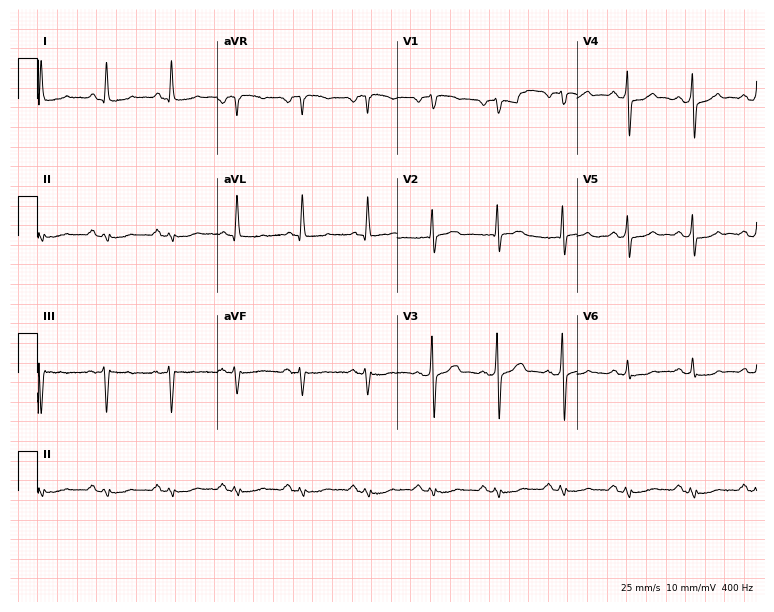
Standard 12-lead ECG recorded from a 78-year-old man (7.3-second recording at 400 Hz). None of these six findings is recorded: first-degree AV block, right bundle branch block (RBBB), left bundle branch block (LBBB), sinus bradycardia, atrial fibrillation (AF), sinus tachycardia. Findings outside these six are not listed.